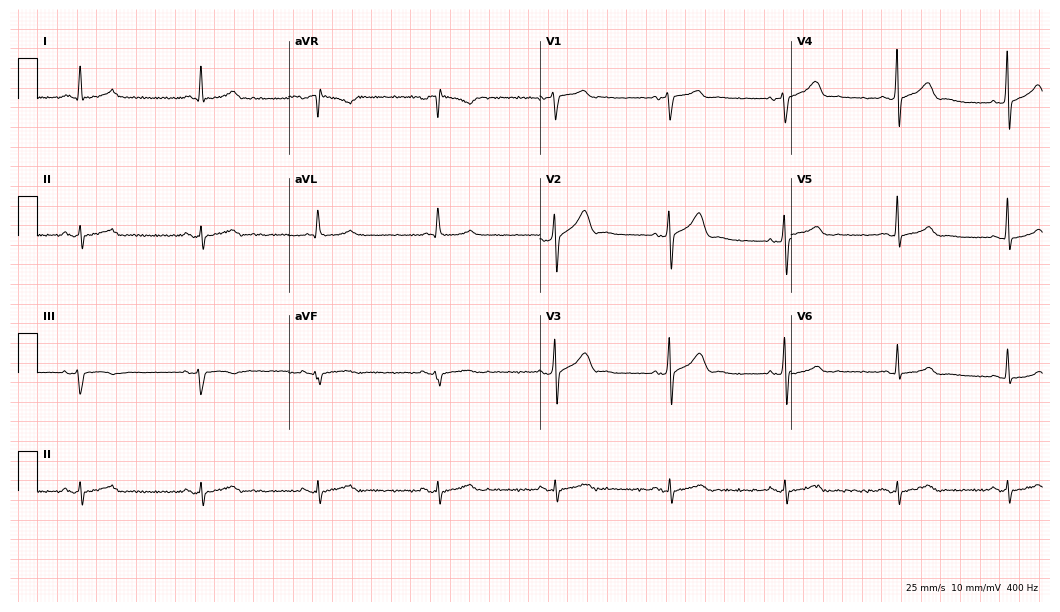
12-lead ECG from a male, 50 years old. Screened for six findings — first-degree AV block, right bundle branch block, left bundle branch block, sinus bradycardia, atrial fibrillation, sinus tachycardia — none is recorded. Only these six findings were labelled.